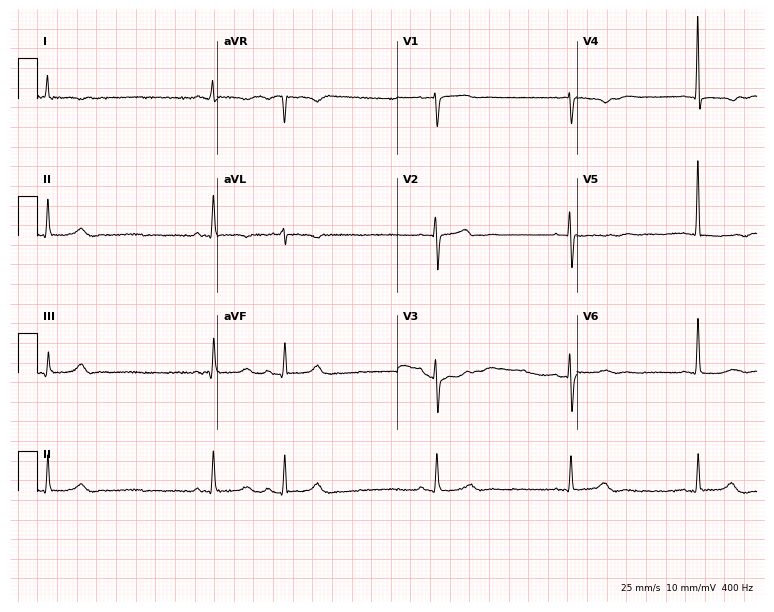
12-lead ECG (7.3-second recording at 400 Hz) from a woman, 73 years old. Findings include sinus bradycardia (a sinus rate of 50 beats per minute or less).